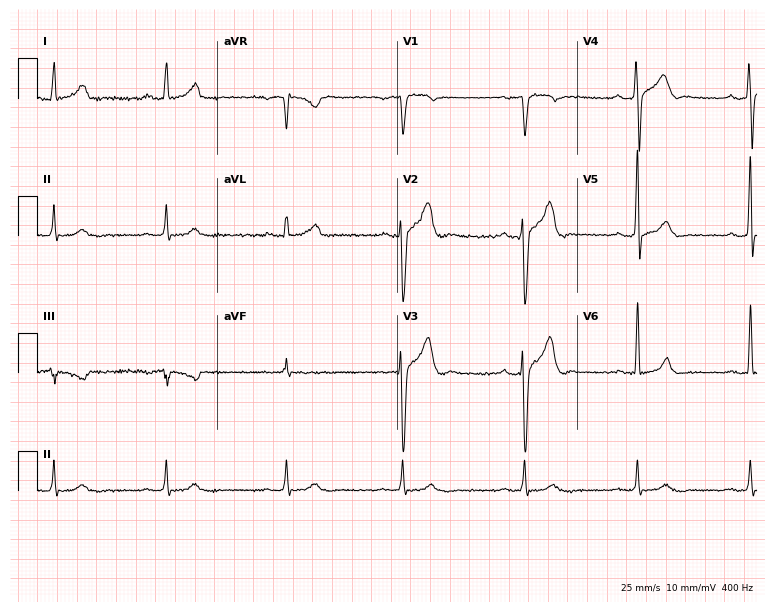
12-lead ECG from a 29-year-old male patient. Screened for six findings — first-degree AV block, right bundle branch block, left bundle branch block, sinus bradycardia, atrial fibrillation, sinus tachycardia — none is recorded.